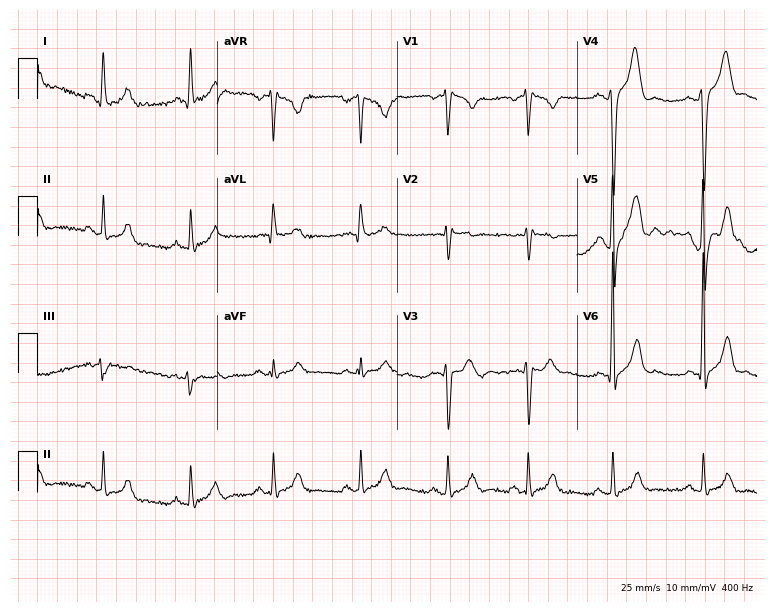
Resting 12-lead electrocardiogram (7.3-second recording at 400 Hz). Patient: a male, 25 years old. Read as a normal ECG.